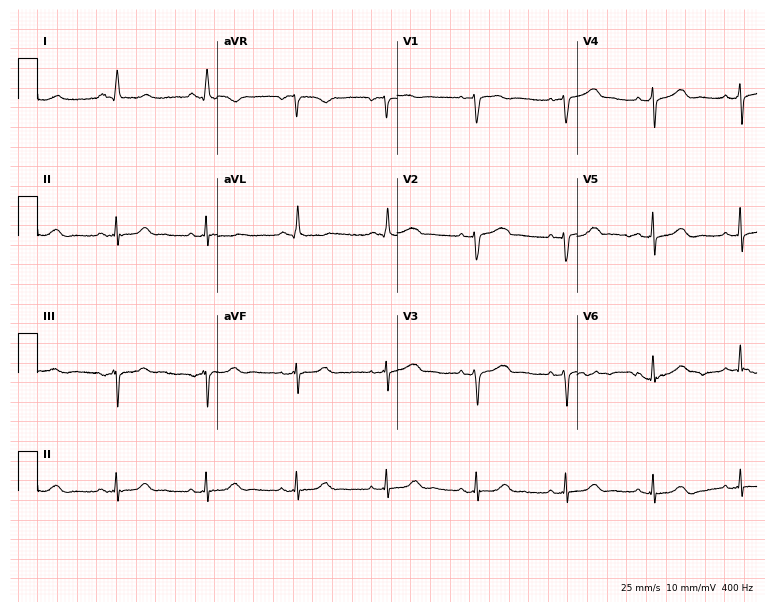
Electrocardiogram (7.3-second recording at 400 Hz), a female, 57 years old. Overall reading on record: normal ECG.